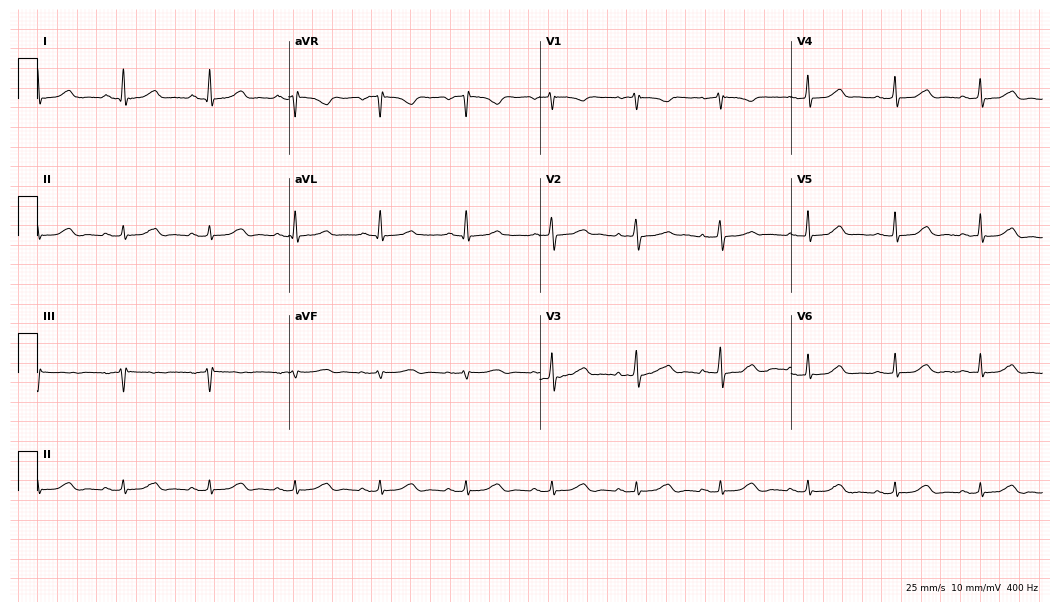
ECG — a 63-year-old female. Labelled as a normal ECG.